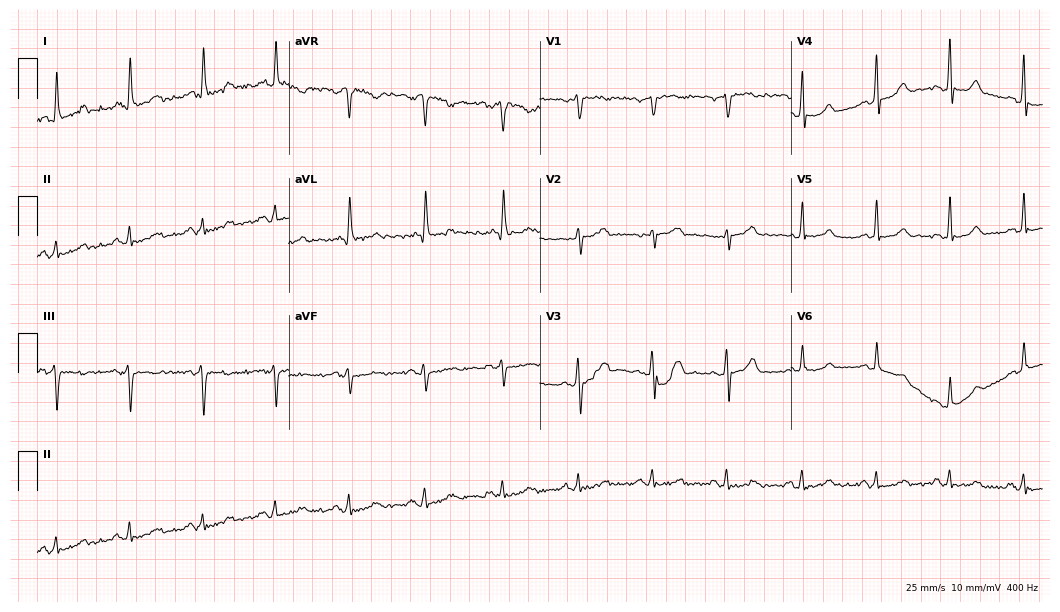
ECG (10.2-second recording at 400 Hz) — a 53-year-old female. Labelled as a normal ECG.